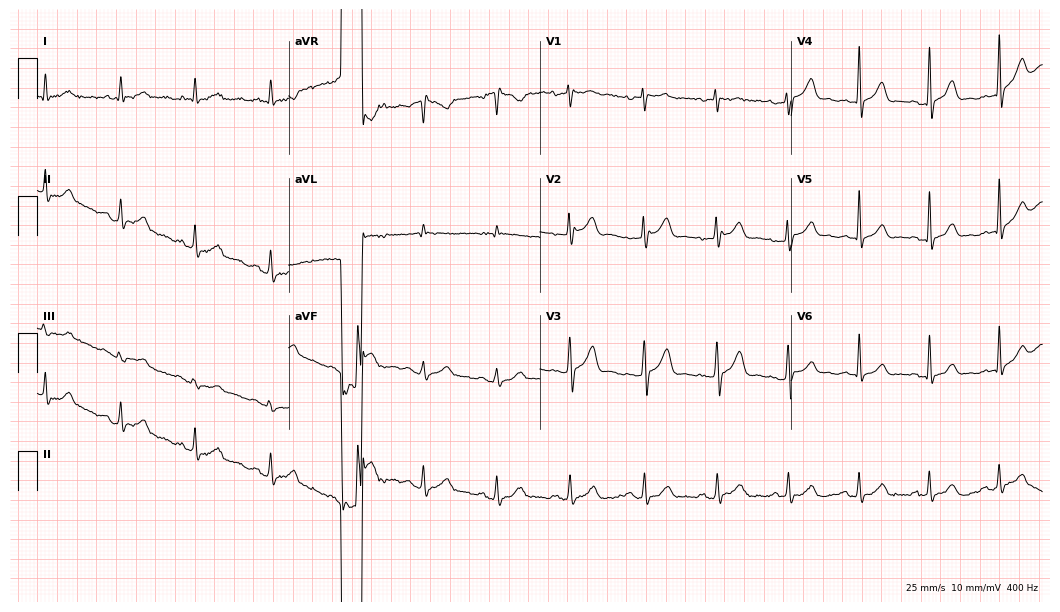
12-lead ECG from a 46-year-old male patient. Labelled as a normal ECG.